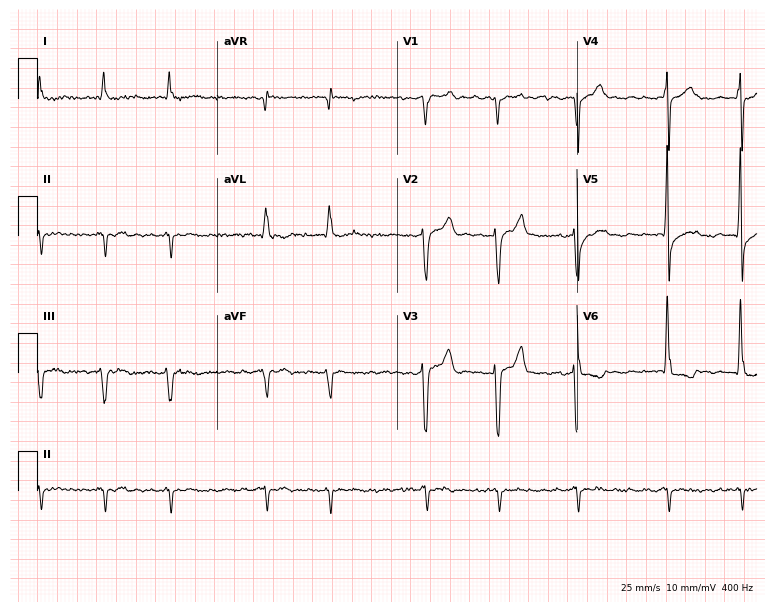
12-lead ECG from a 60-year-old man. Findings include atrial fibrillation.